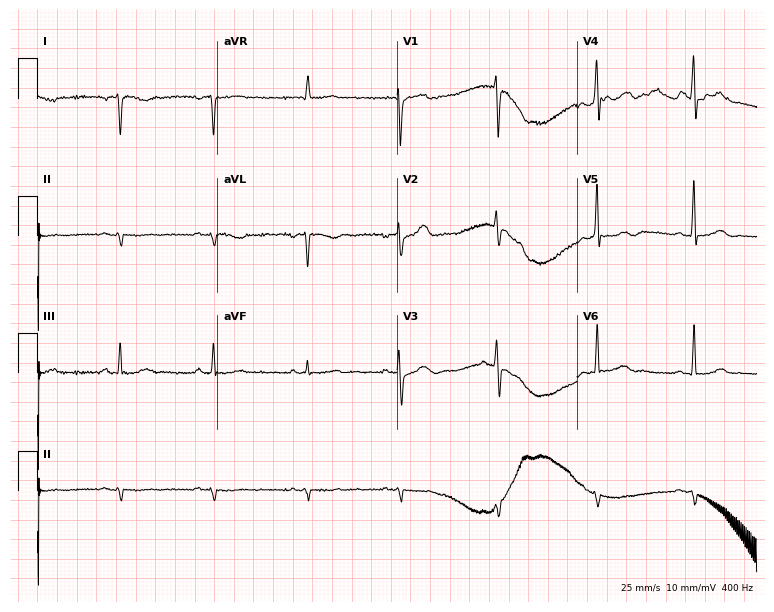
12-lead ECG from a female, 54 years old (7.3-second recording at 400 Hz). No first-degree AV block, right bundle branch block, left bundle branch block, sinus bradycardia, atrial fibrillation or sinus tachycardia recorded for this tracing.